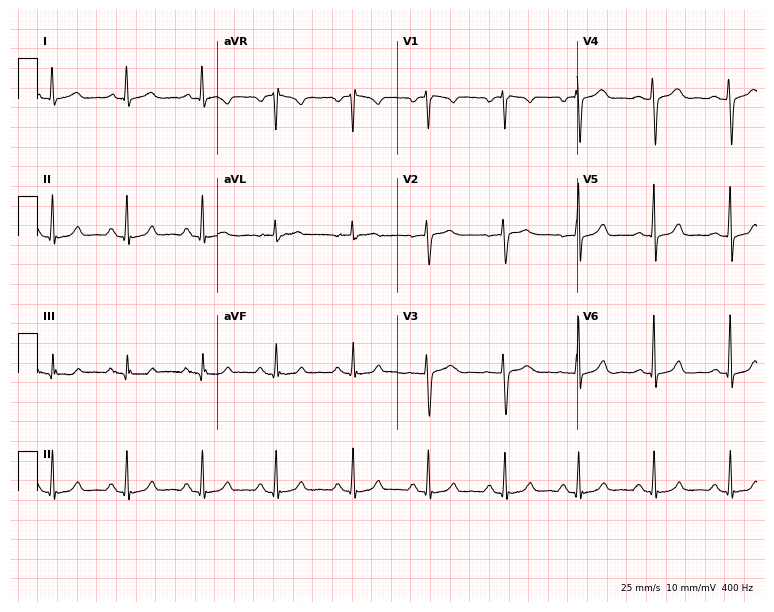
ECG — a female, 33 years old. Labelled as a normal ECG.